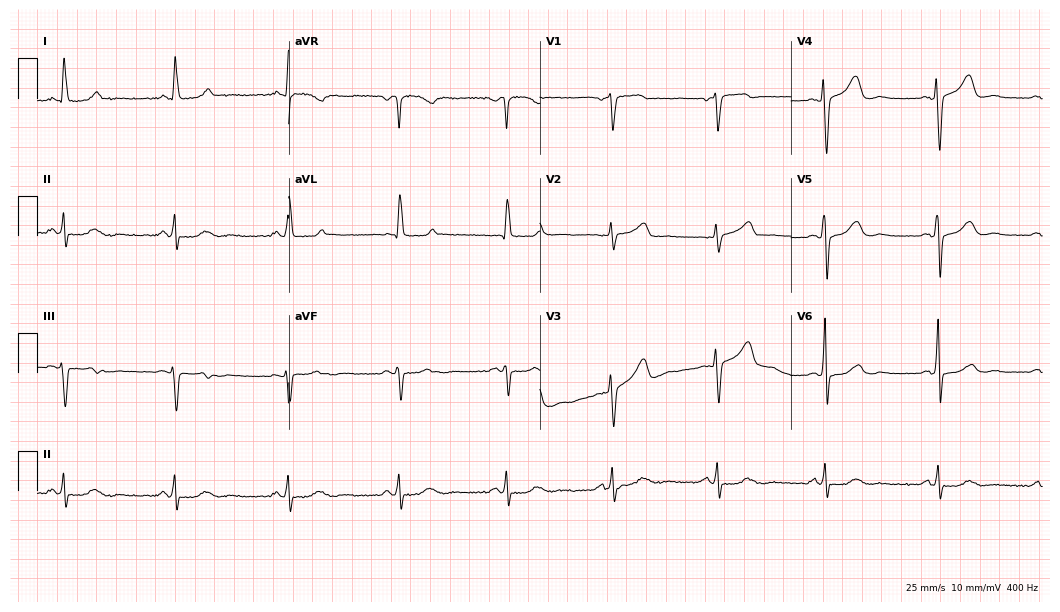
12-lead ECG from a 67-year-old female. Recorded interpretation: within normal limits.